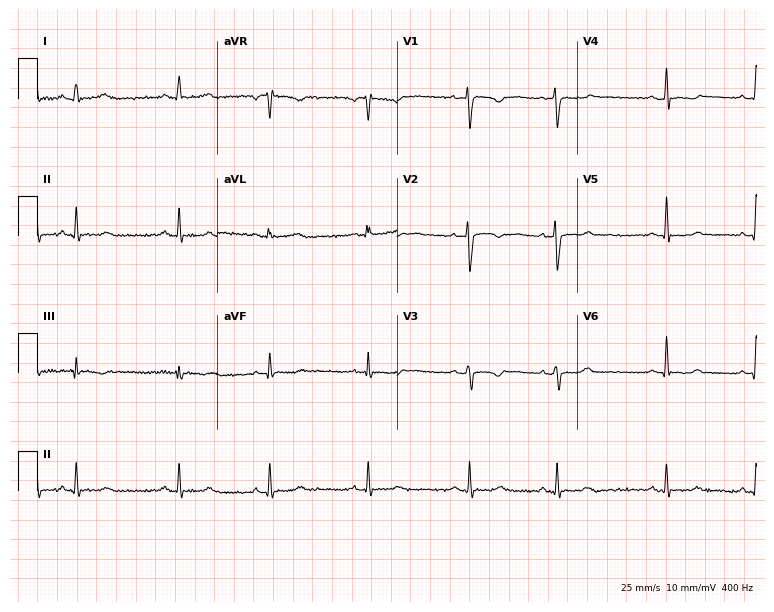
ECG — a 28-year-old female patient. Screened for six findings — first-degree AV block, right bundle branch block (RBBB), left bundle branch block (LBBB), sinus bradycardia, atrial fibrillation (AF), sinus tachycardia — none is recorded. Other findings, if any, are not listed.